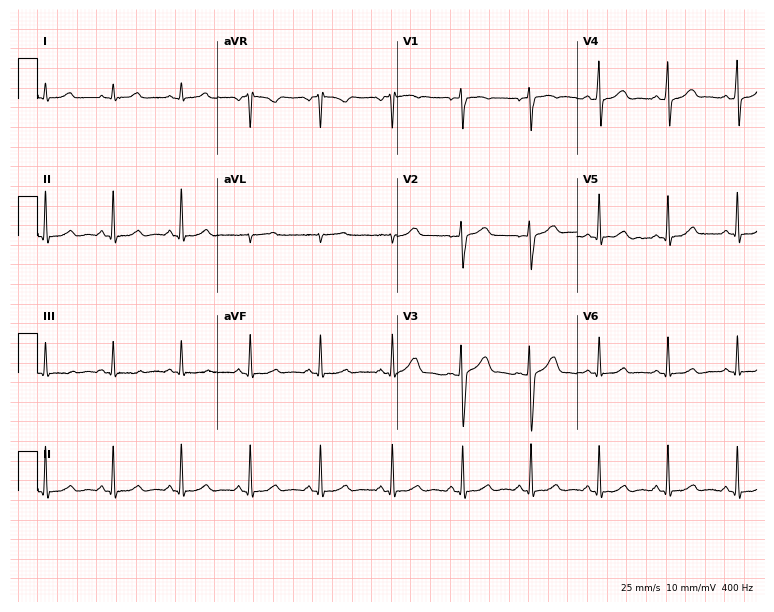
Resting 12-lead electrocardiogram. Patient: a 35-year-old woman. Read as a normal ECG.